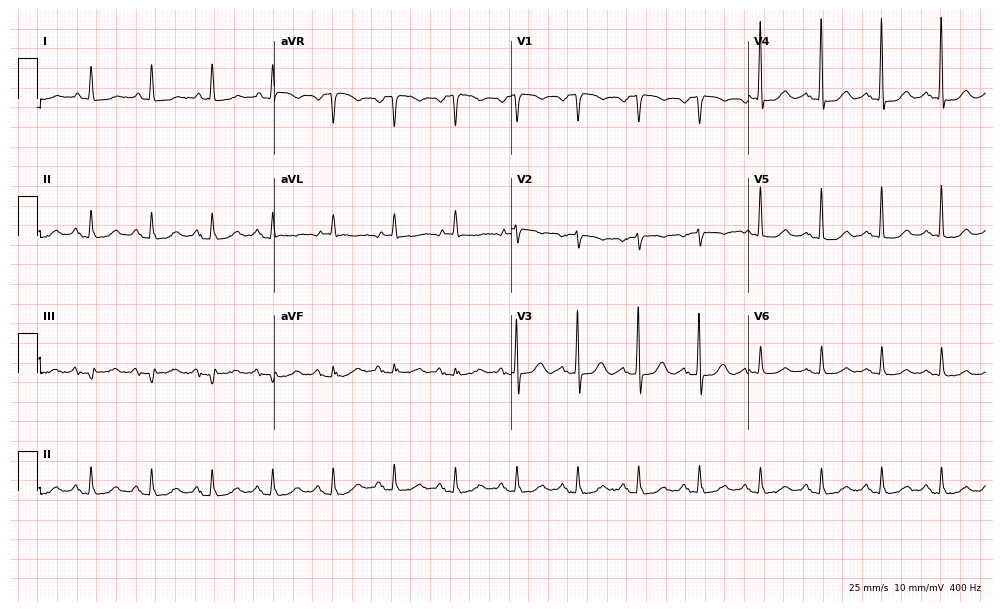
12-lead ECG from a 78-year-old female. Recorded interpretation: within normal limits.